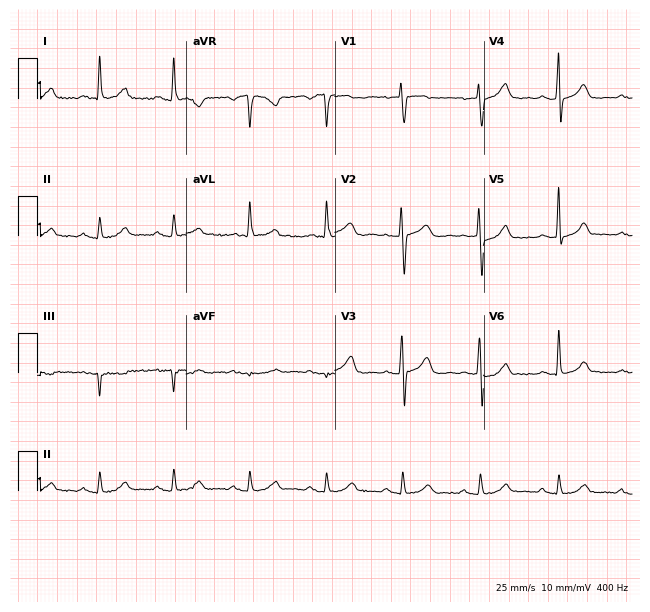
ECG (6.1-second recording at 400 Hz) — a 76-year-old female. Screened for six findings — first-degree AV block, right bundle branch block, left bundle branch block, sinus bradycardia, atrial fibrillation, sinus tachycardia — none is recorded.